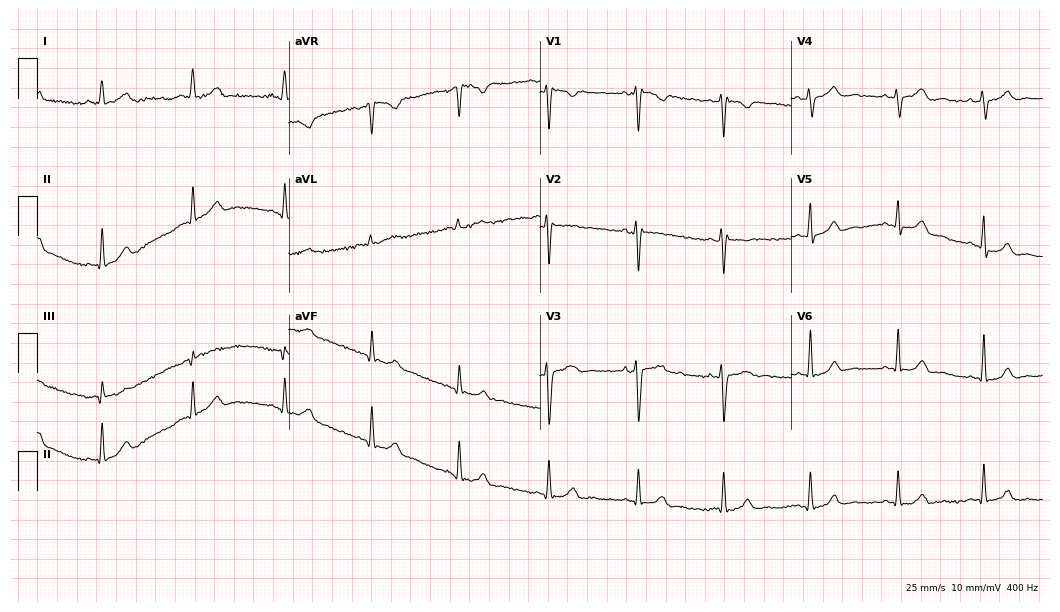
12-lead ECG from a woman, 36 years old. Recorded interpretation: within normal limits.